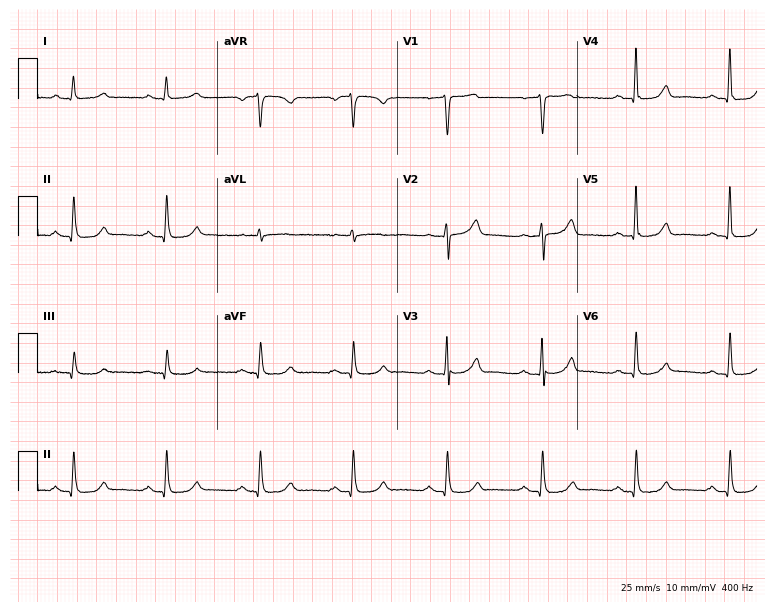
ECG — a man, 77 years old. Labelled as a normal ECG.